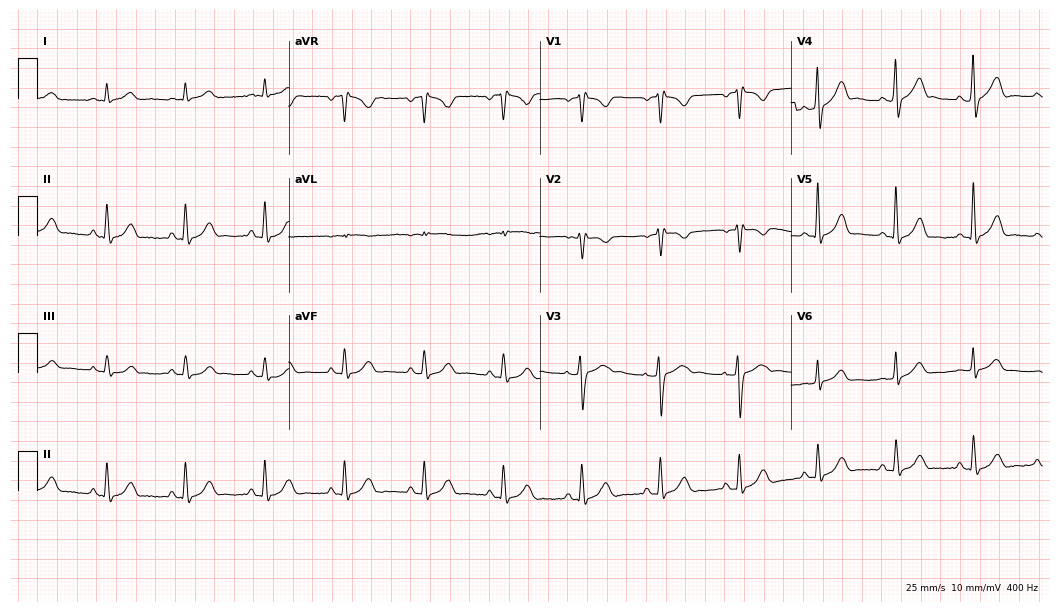
12-lead ECG (10.2-second recording at 400 Hz) from a male patient, 70 years old. Screened for six findings — first-degree AV block, right bundle branch block, left bundle branch block, sinus bradycardia, atrial fibrillation, sinus tachycardia — none is recorded.